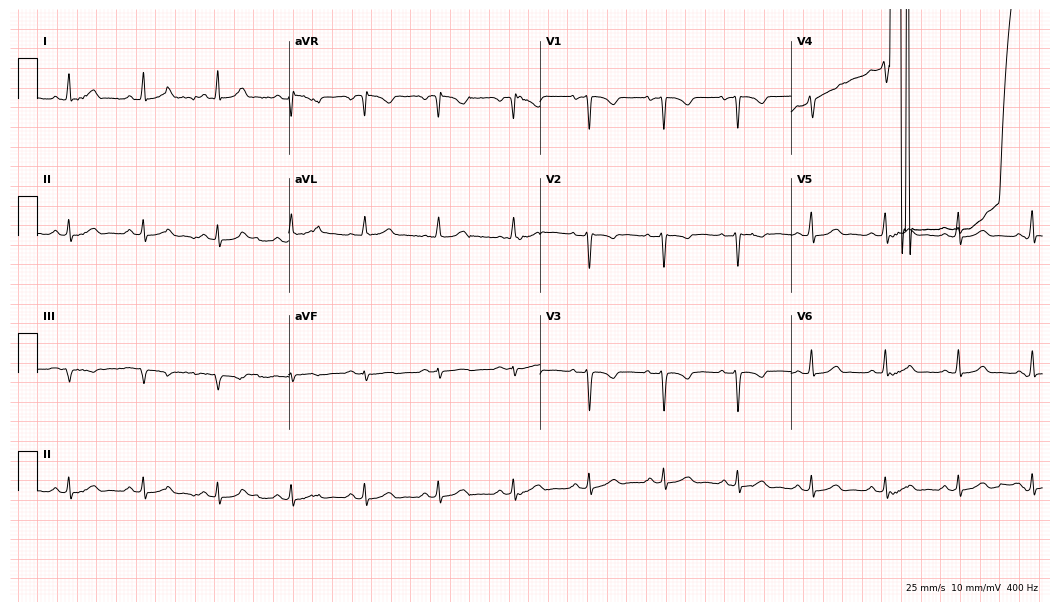
Resting 12-lead electrocardiogram. Patient: a 28-year-old woman. None of these six findings is recorded: first-degree AV block, right bundle branch block, left bundle branch block, sinus bradycardia, atrial fibrillation, sinus tachycardia. Only these six findings were labelled.